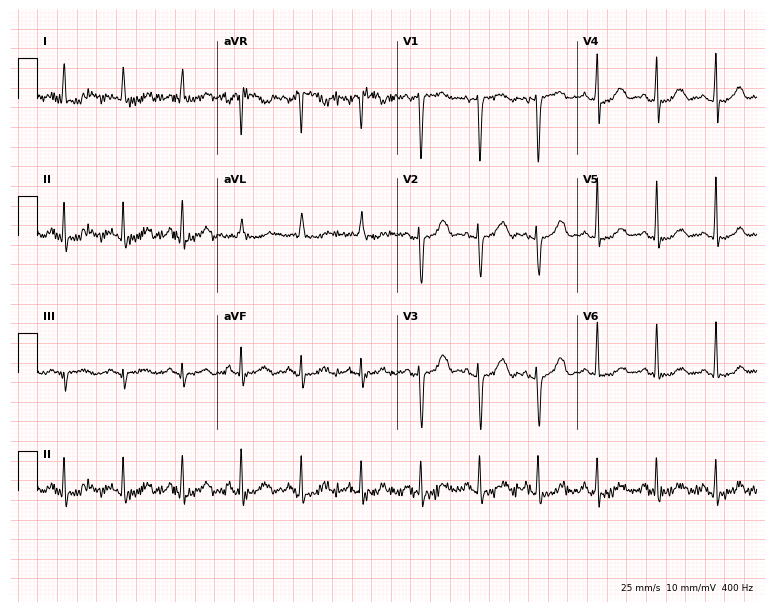
Electrocardiogram, a 50-year-old female patient. Overall reading on record: normal ECG.